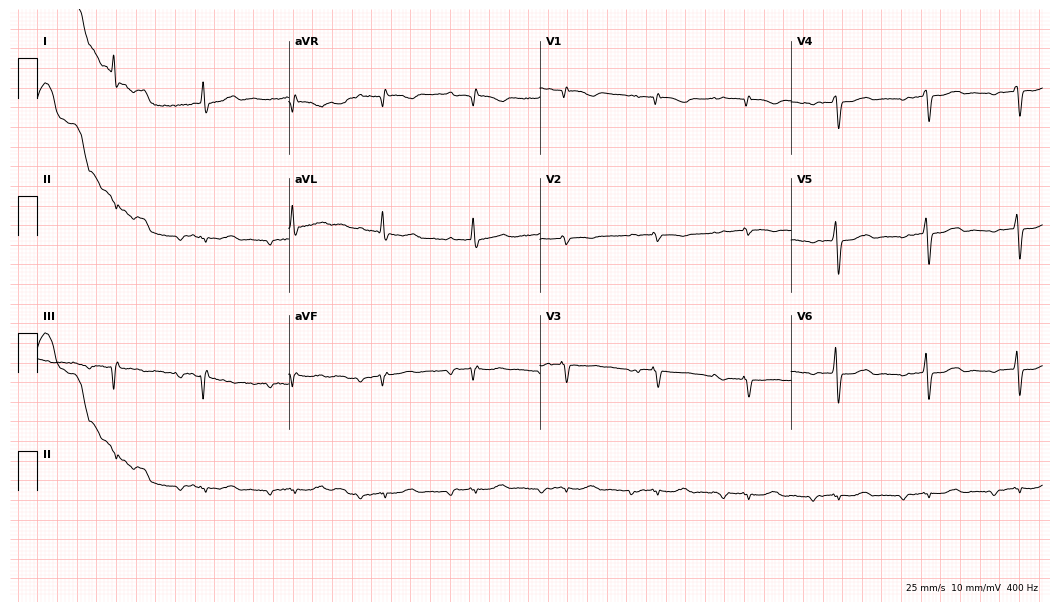
12-lead ECG from a female, 81 years old. Findings include first-degree AV block.